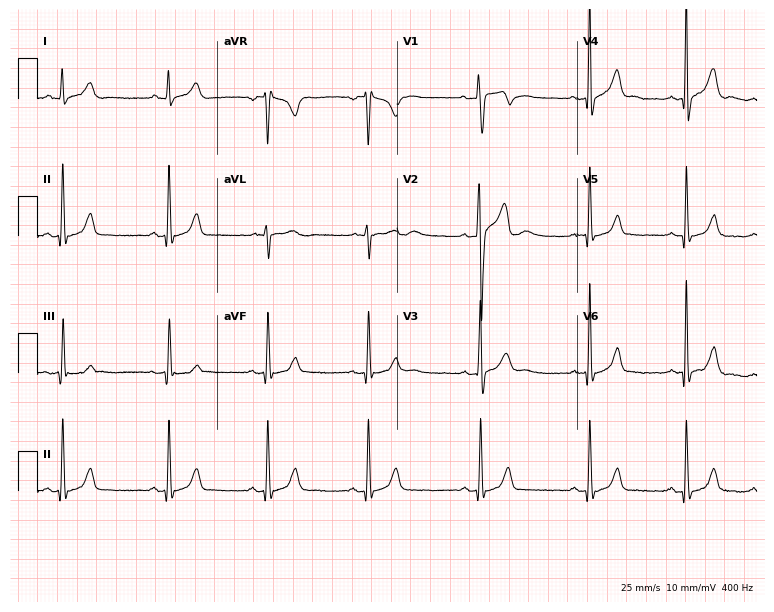
ECG — a 25-year-old male. Labelled as a normal ECG.